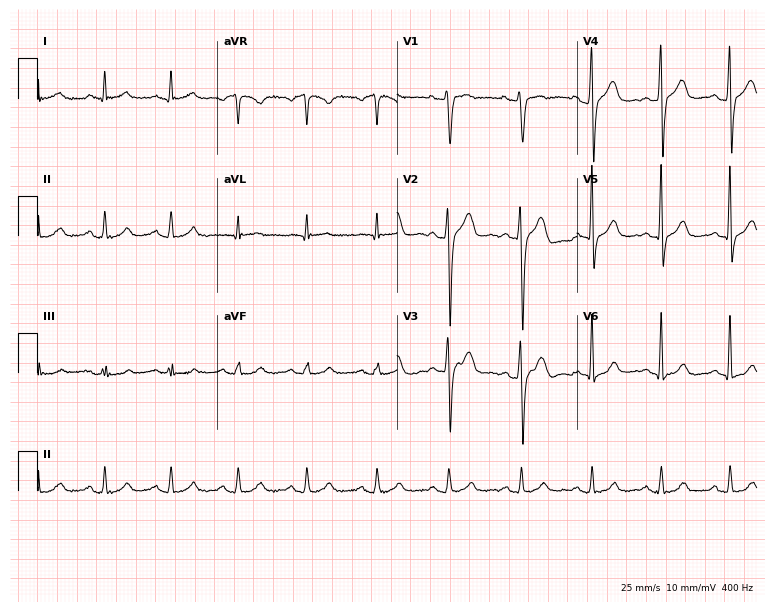
12-lead ECG (7.3-second recording at 400 Hz) from a 44-year-old man. Screened for six findings — first-degree AV block, right bundle branch block, left bundle branch block, sinus bradycardia, atrial fibrillation, sinus tachycardia — none is recorded.